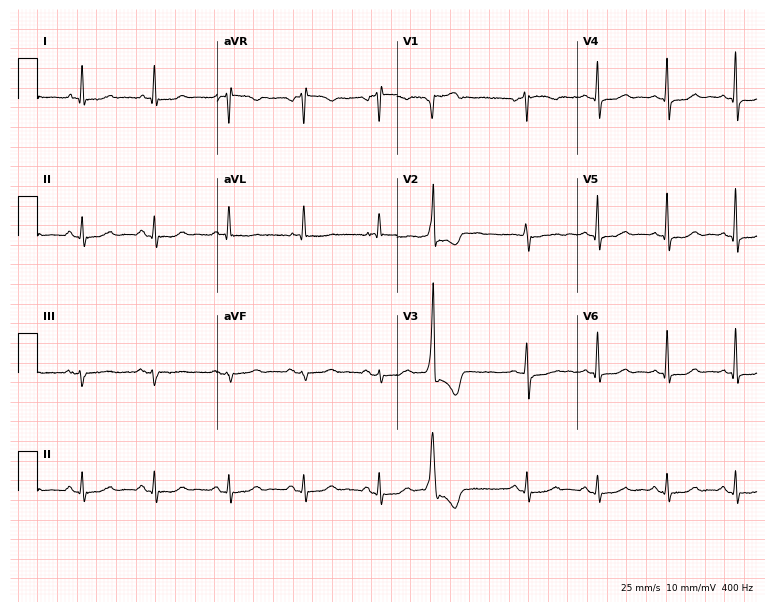
Standard 12-lead ECG recorded from a woman, 78 years old. None of these six findings is recorded: first-degree AV block, right bundle branch block, left bundle branch block, sinus bradycardia, atrial fibrillation, sinus tachycardia.